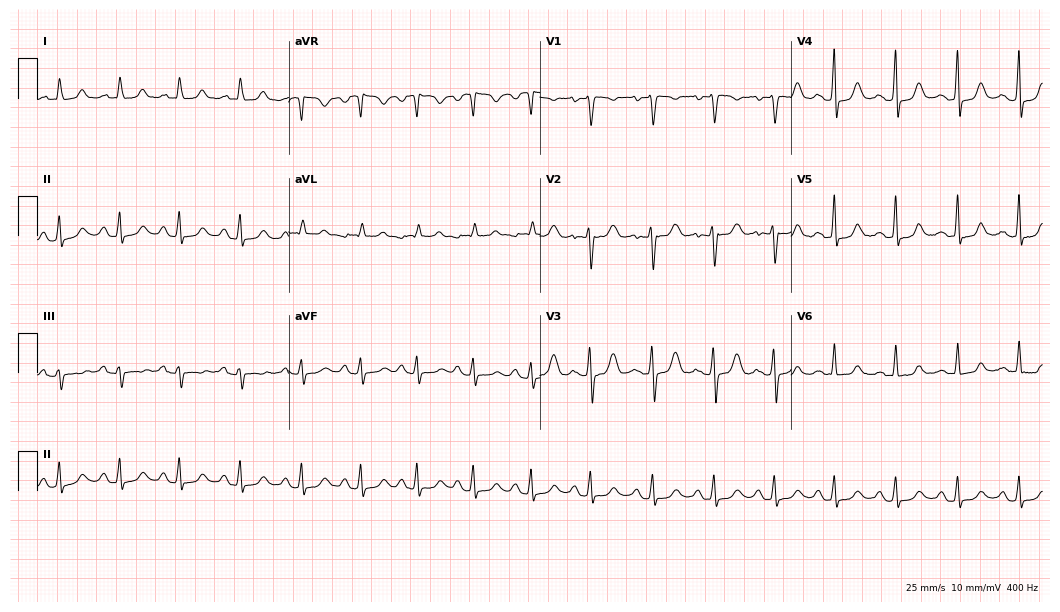
Electrocardiogram, a 27-year-old female. Of the six screened findings (first-degree AV block, right bundle branch block, left bundle branch block, sinus bradycardia, atrial fibrillation, sinus tachycardia), none is recorded. Other findings, if any, are not listed.